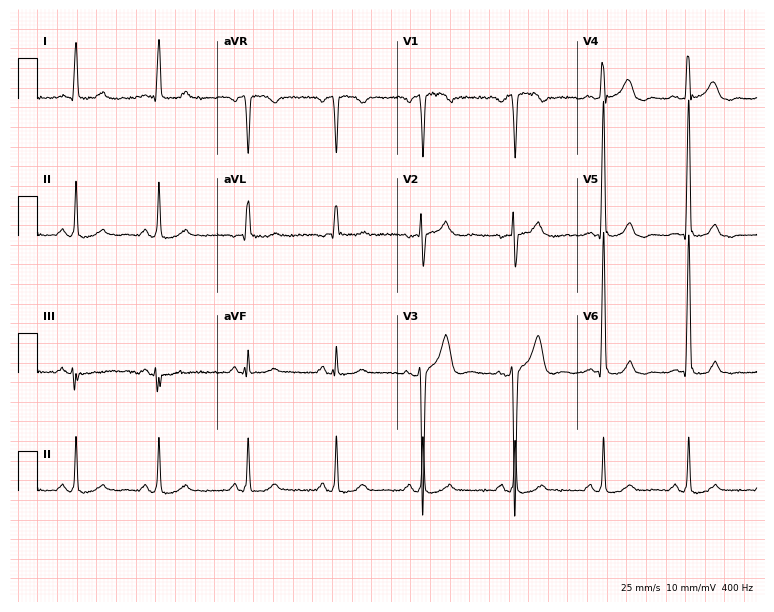
ECG (7.3-second recording at 400 Hz) — a male, 61 years old. Screened for six findings — first-degree AV block, right bundle branch block, left bundle branch block, sinus bradycardia, atrial fibrillation, sinus tachycardia — none is recorded. Findings outside these six are not listed.